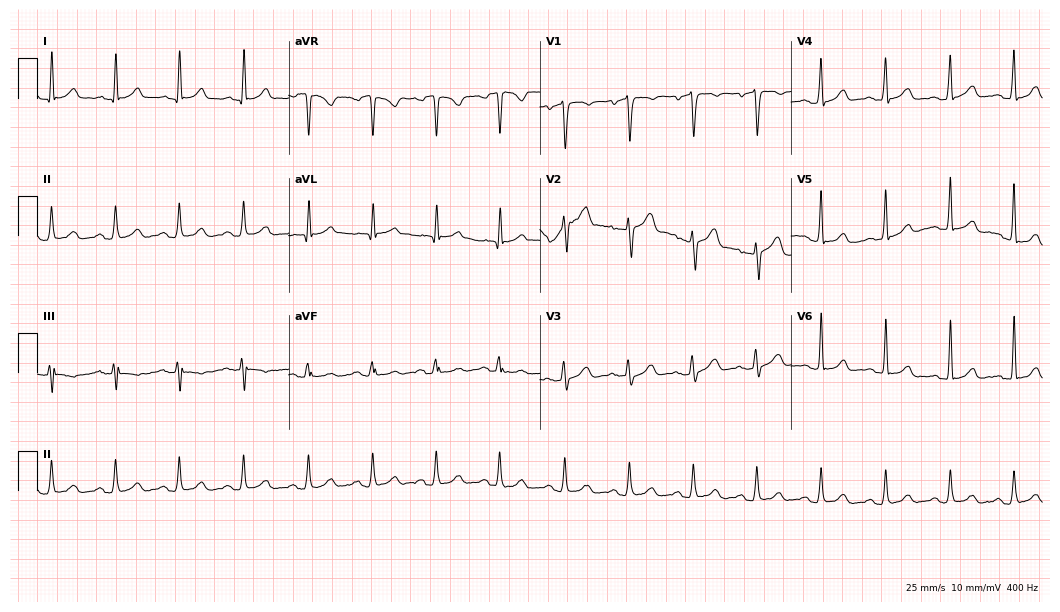
Electrocardiogram (10.2-second recording at 400 Hz), a male, 38 years old. Overall reading on record: normal ECG.